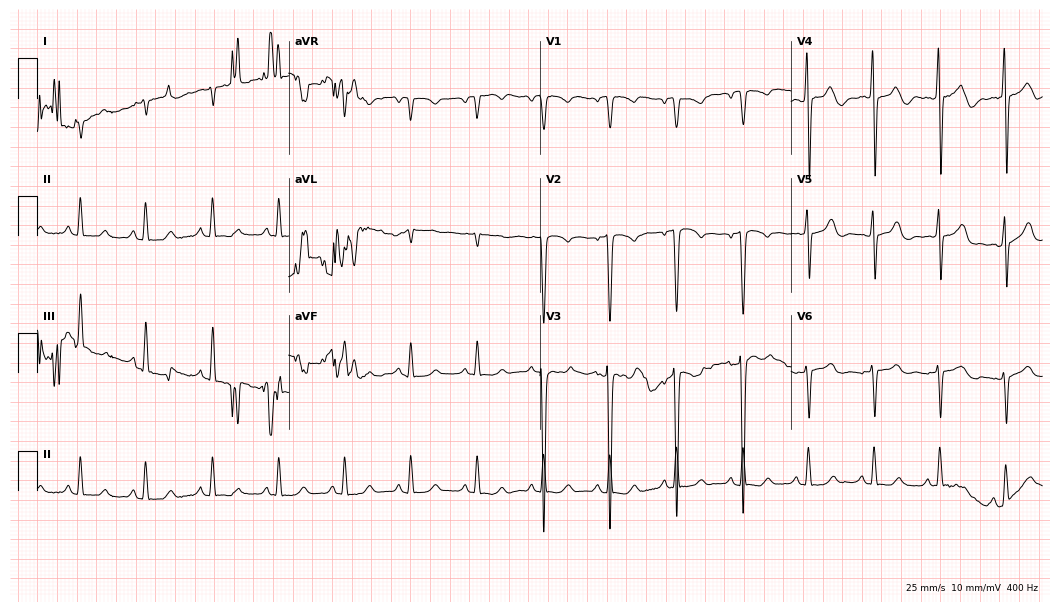
Resting 12-lead electrocardiogram (10.2-second recording at 400 Hz). Patient: a man, 78 years old. None of these six findings is recorded: first-degree AV block, right bundle branch block, left bundle branch block, sinus bradycardia, atrial fibrillation, sinus tachycardia. Only these six findings were labelled.